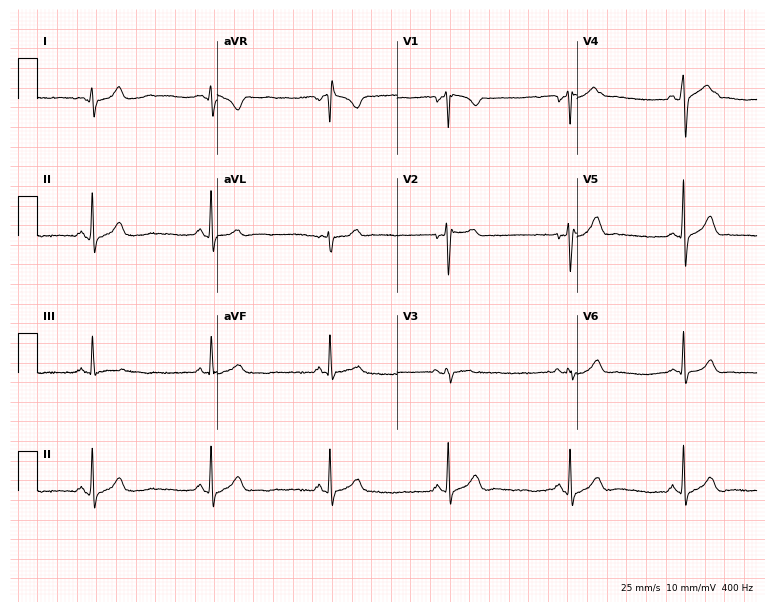
Resting 12-lead electrocardiogram (7.3-second recording at 400 Hz). Patient: a man, 20 years old. The tracing shows sinus bradycardia (a sinus rate of 50 beats per minute or less).